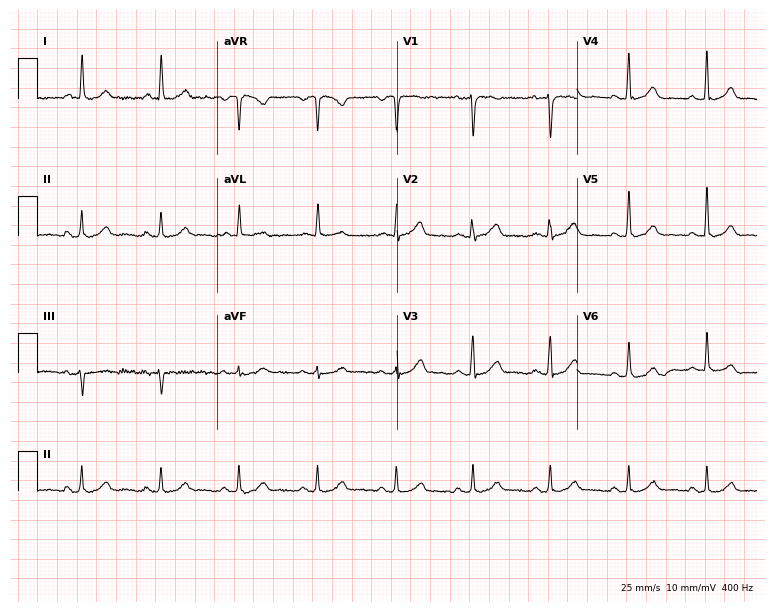
ECG — a 56-year-old male. Labelled as a normal ECG.